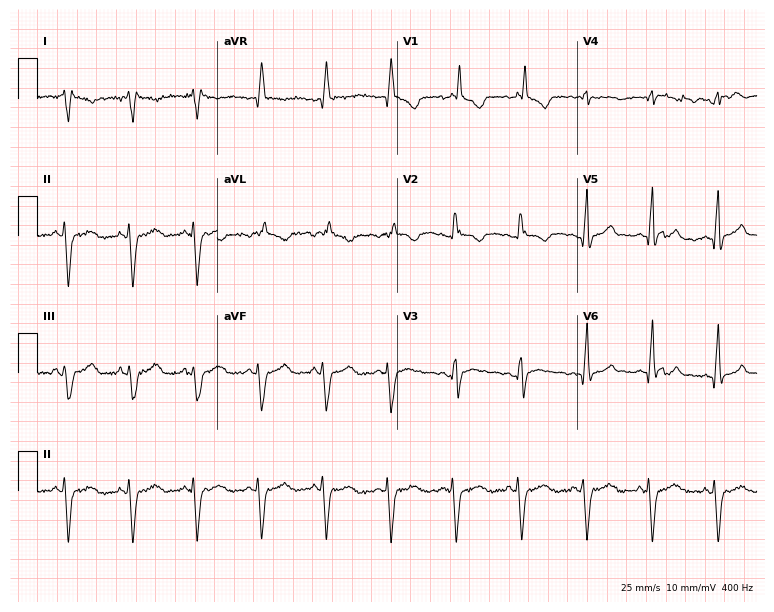
12-lead ECG from a man, 39 years old (7.3-second recording at 400 Hz). No first-degree AV block, right bundle branch block (RBBB), left bundle branch block (LBBB), sinus bradycardia, atrial fibrillation (AF) or sinus tachycardia recorded for this tracing. Findings outside these six are not listed.